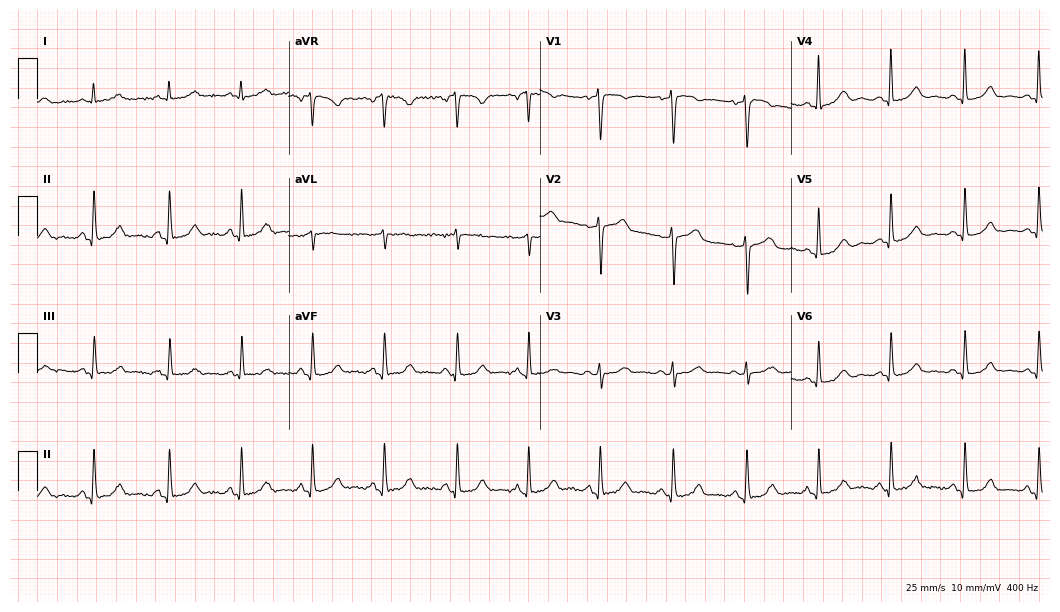
Standard 12-lead ECG recorded from a female, 60 years old. Read as a normal ECG.